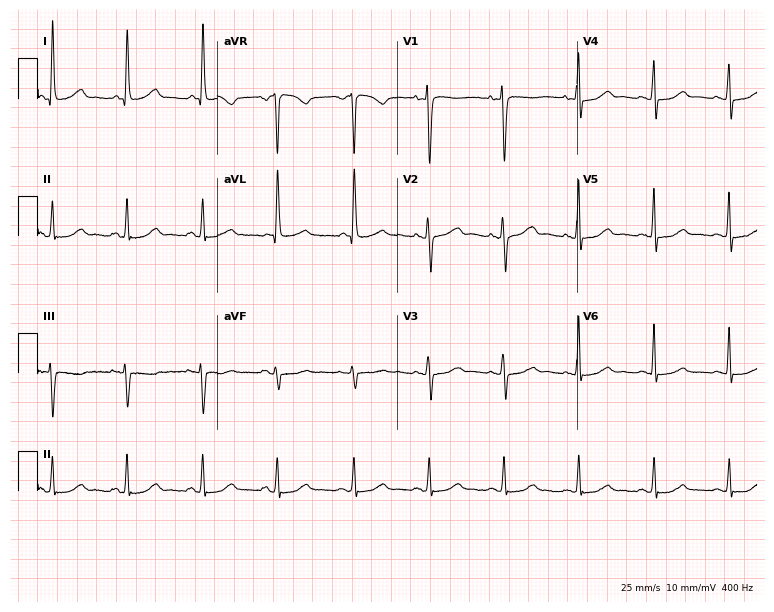
Standard 12-lead ECG recorded from a female, 45 years old. Read as a normal ECG.